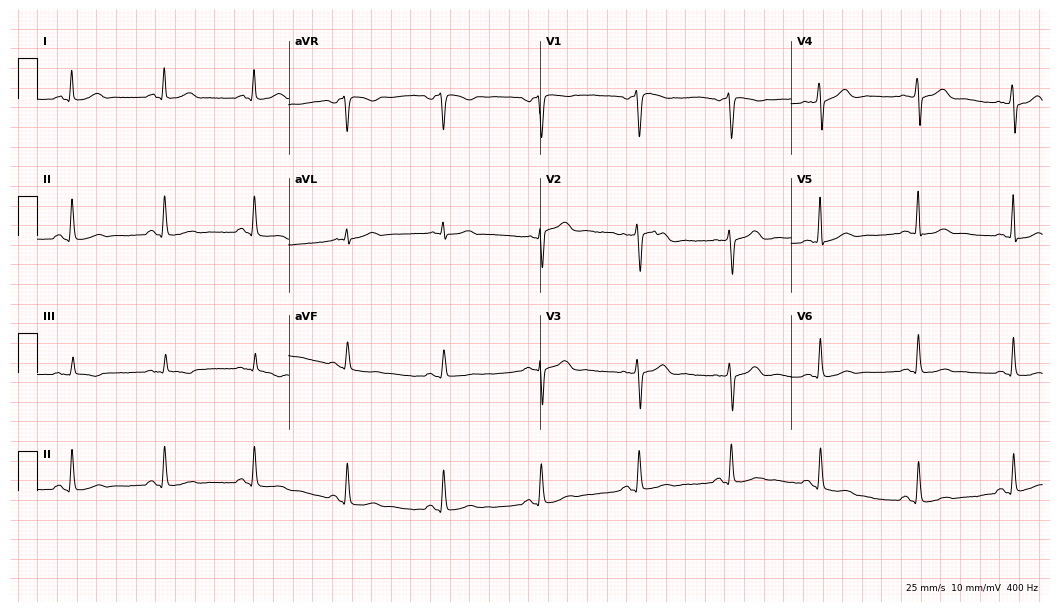
Standard 12-lead ECG recorded from a 44-year-old female patient. Read as a normal ECG.